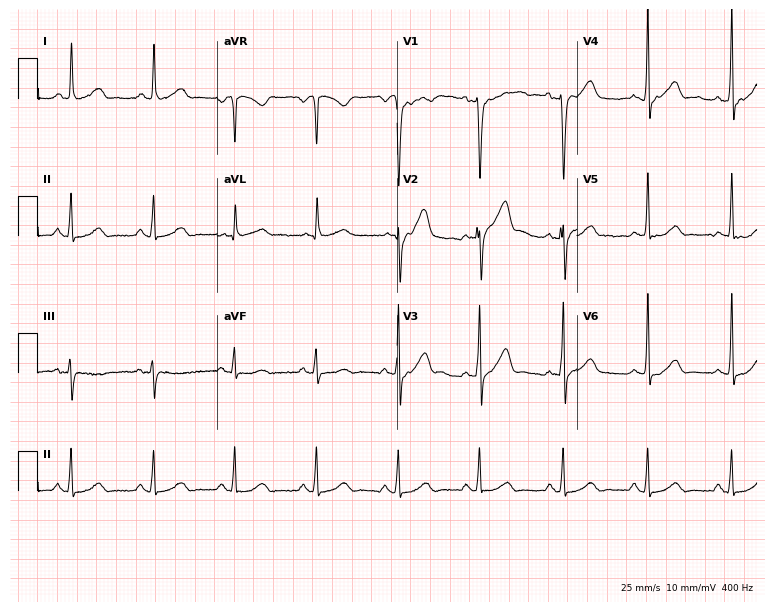
Standard 12-lead ECG recorded from a 50-year-old male patient. Read as a normal ECG.